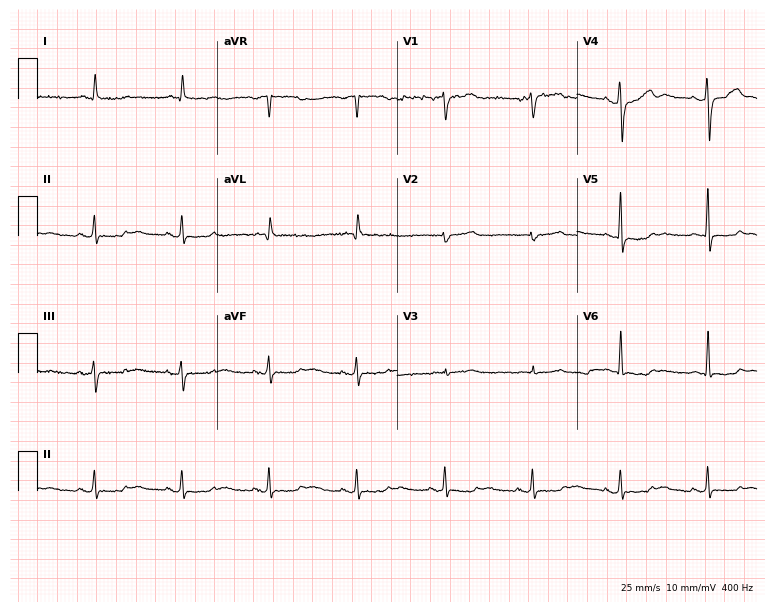
Resting 12-lead electrocardiogram (7.3-second recording at 400 Hz). Patient: a 75-year-old male. None of these six findings is recorded: first-degree AV block, right bundle branch block, left bundle branch block, sinus bradycardia, atrial fibrillation, sinus tachycardia.